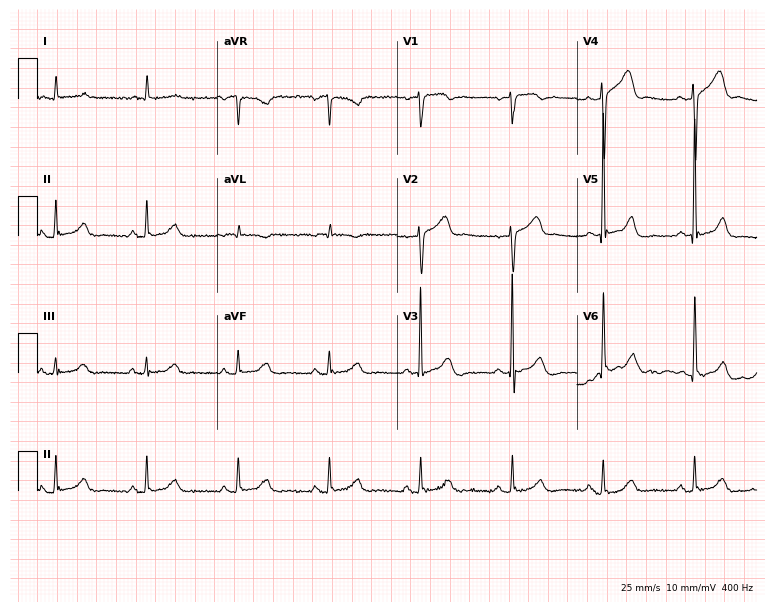
Standard 12-lead ECG recorded from an 83-year-old woman. None of these six findings is recorded: first-degree AV block, right bundle branch block (RBBB), left bundle branch block (LBBB), sinus bradycardia, atrial fibrillation (AF), sinus tachycardia.